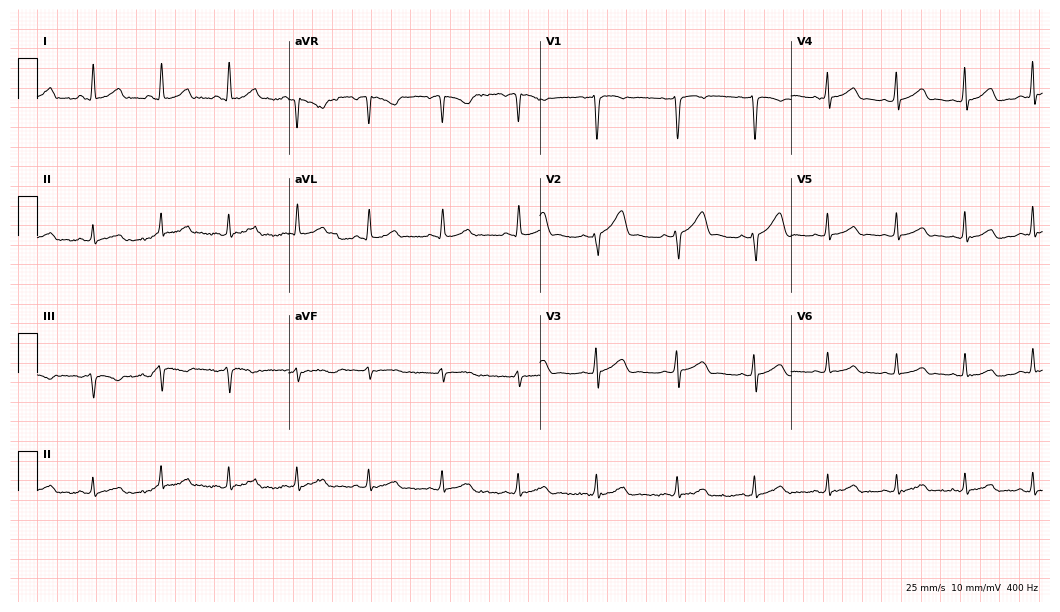
12-lead ECG from a 29-year-old woman (10.2-second recording at 400 Hz). Recorded interpretation: within normal limits.